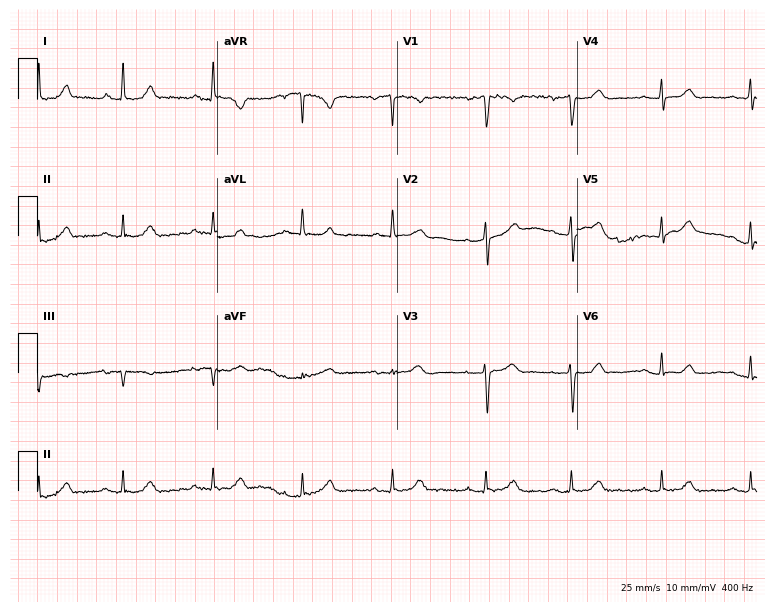
12-lead ECG from a 36-year-old female (7.3-second recording at 400 Hz). No first-degree AV block, right bundle branch block, left bundle branch block, sinus bradycardia, atrial fibrillation or sinus tachycardia recorded for this tracing.